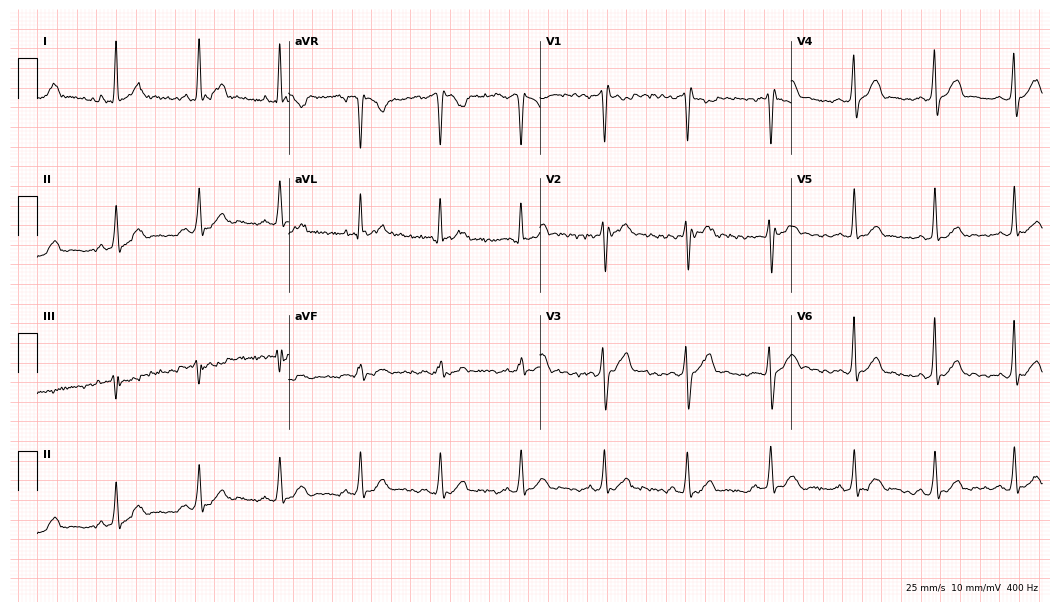
Resting 12-lead electrocardiogram (10.2-second recording at 400 Hz). Patient: a male, 32 years old. None of these six findings is recorded: first-degree AV block, right bundle branch block, left bundle branch block, sinus bradycardia, atrial fibrillation, sinus tachycardia. Other findings, if any, are not listed.